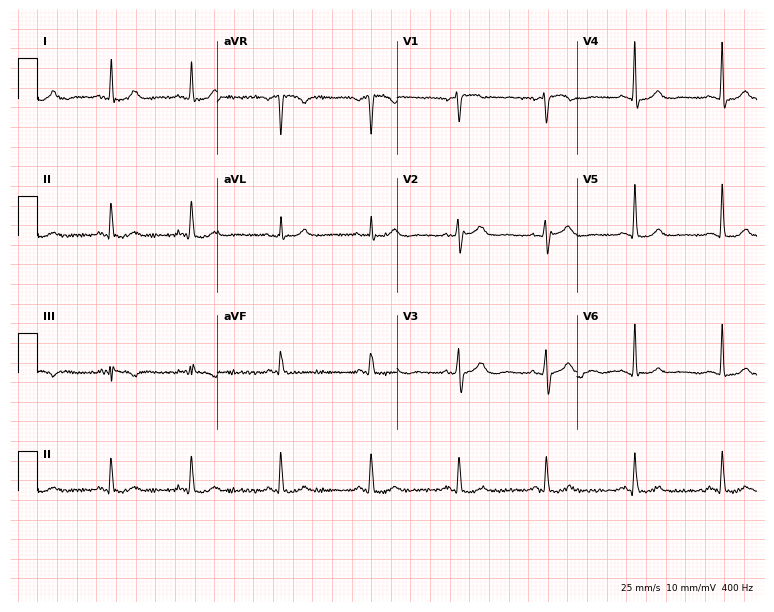
Standard 12-lead ECG recorded from a female patient, 72 years old. Read as a normal ECG.